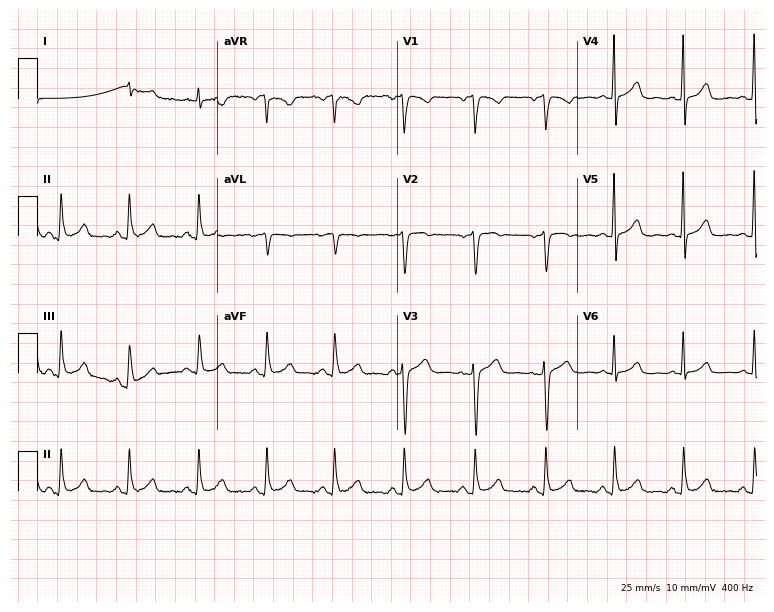
Electrocardiogram, a man, 50 years old. Of the six screened findings (first-degree AV block, right bundle branch block (RBBB), left bundle branch block (LBBB), sinus bradycardia, atrial fibrillation (AF), sinus tachycardia), none is recorded. Only these six findings were labelled.